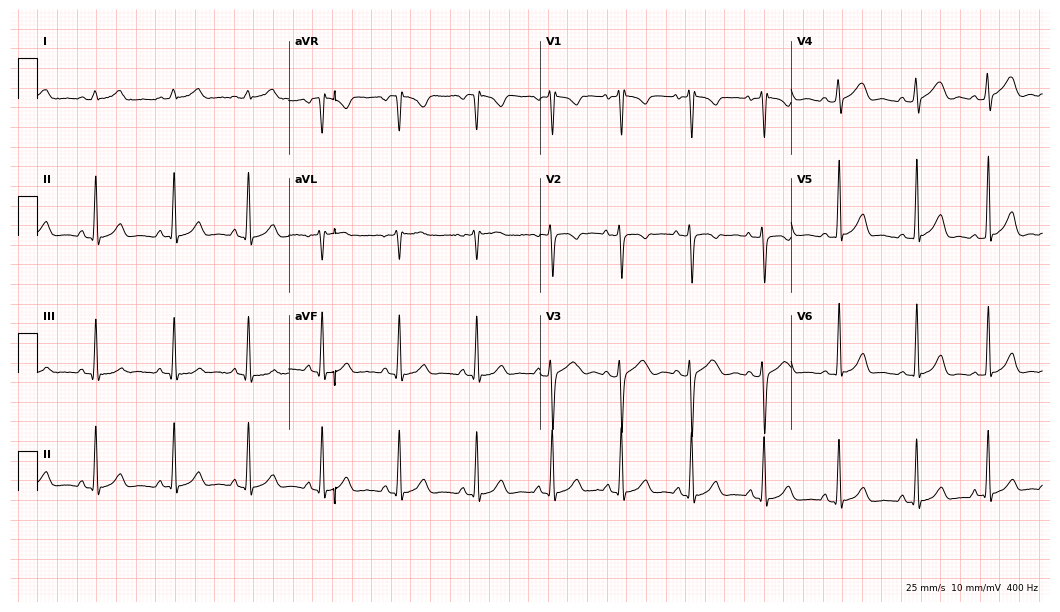
12-lead ECG (10.2-second recording at 400 Hz) from a 21-year-old woman. Screened for six findings — first-degree AV block, right bundle branch block (RBBB), left bundle branch block (LBBB), sinus bradycardia, atrial fibrillation (AF), sinus tachycardia — none is recorded. Findings outside these six are not listed.